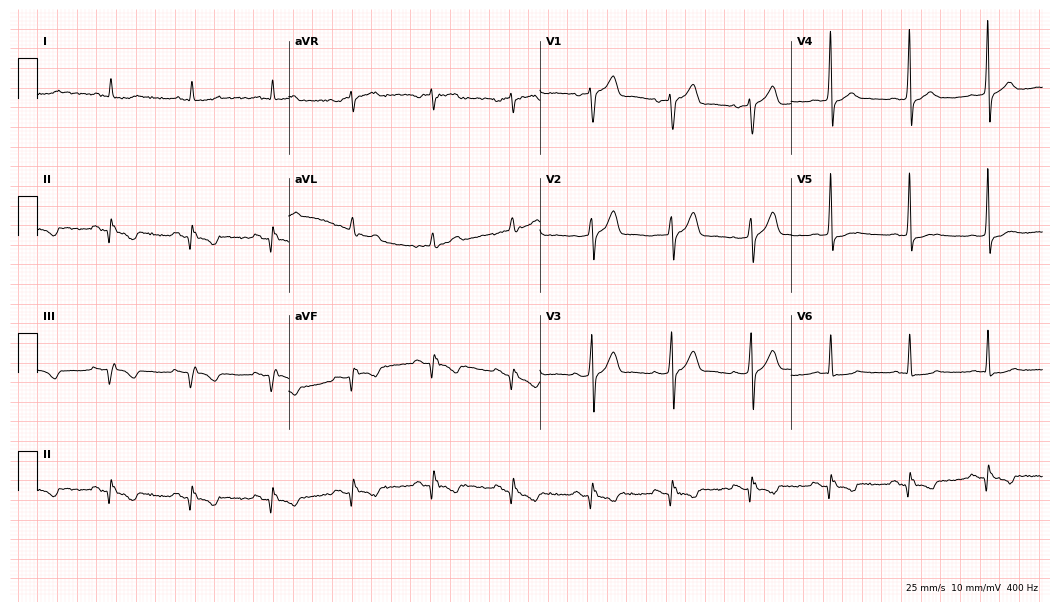
Standard 12-lead ECG recorded from a male, 84 years old. None of these six findings is recorded: first-degree AV block, right bundle branch block, left bundle branch block, sinus bradycardia, atrial fibrillation, sinus tachycardia.